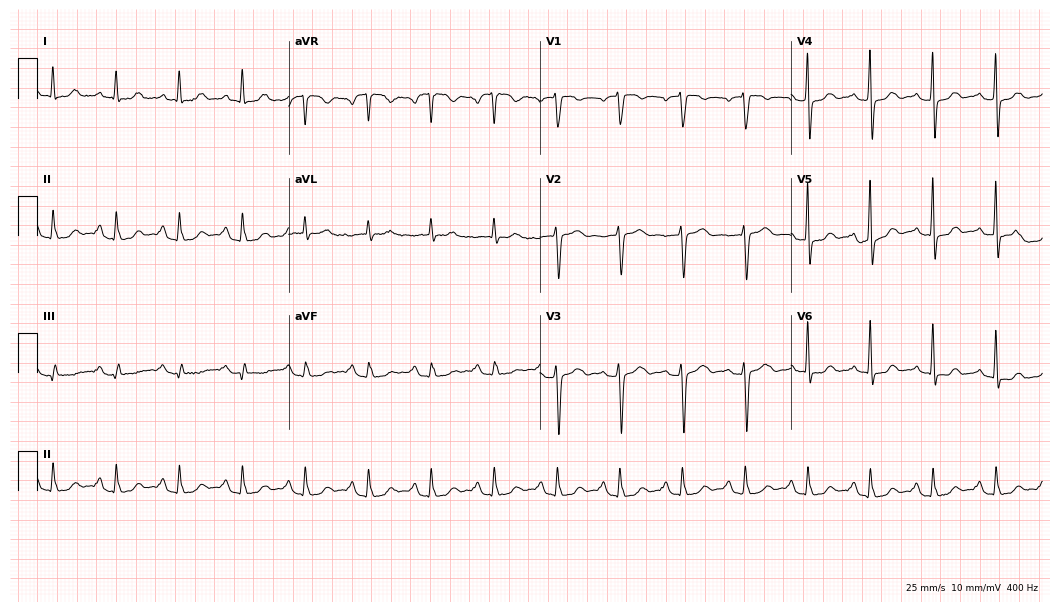
12-lead ECG from a female patient, 58 years old. Recorded interpretation: within normal limits.